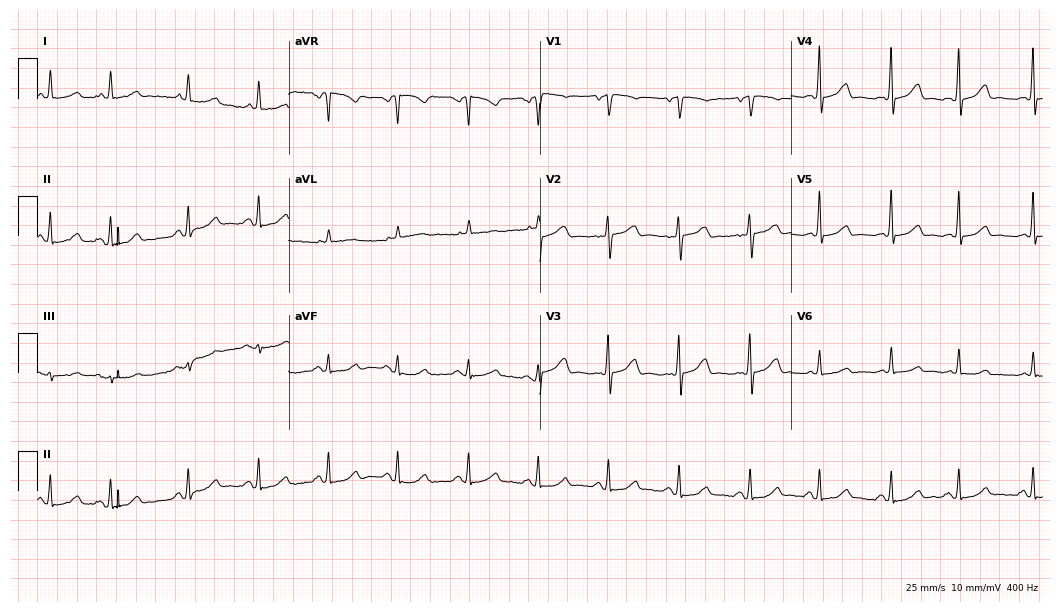
12-lead ECG from a 79-year-old female patient. Labelled as a normal ECG.